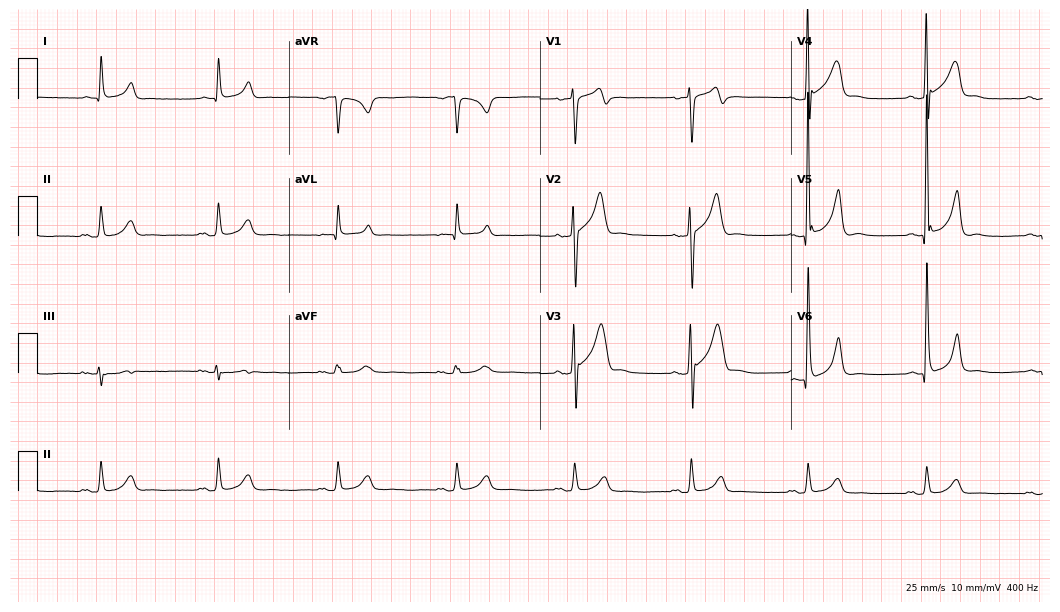
12-lead ECG from a male patient, 70 years old (10.2-second recording at 400 Hz). Shows sinus bradycardia (a sinus rate of 50 beats per minute or less).